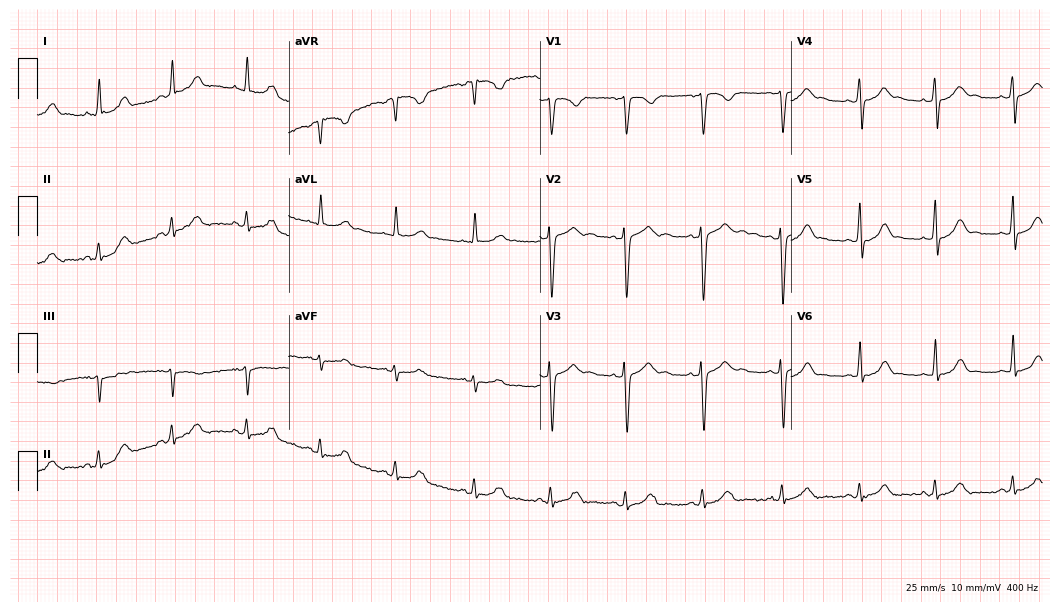
ECG — a 23-year-old woman. Labelled as a normal ECG.